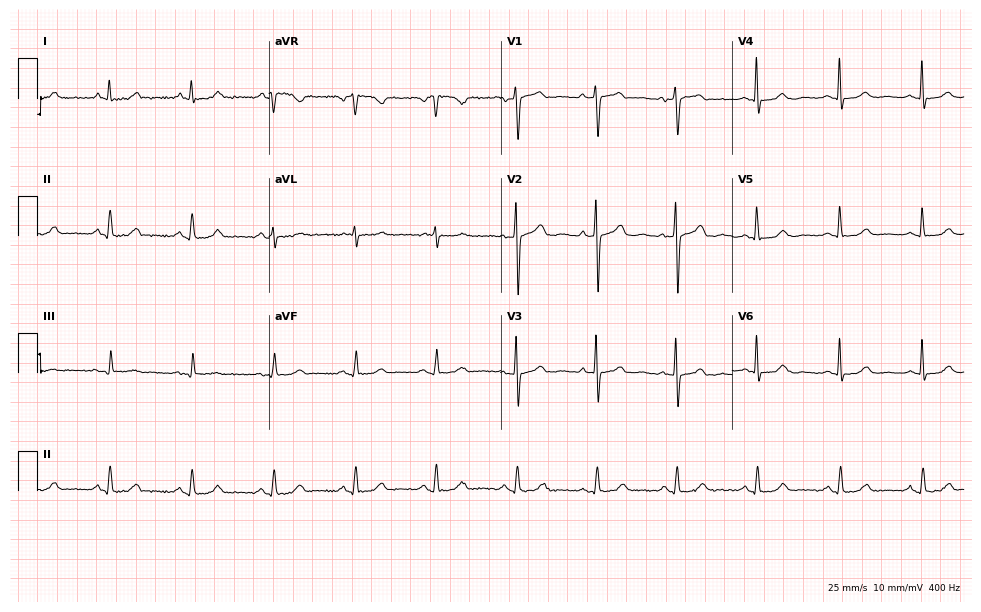
12-lead ECG from a 77-year-old woman (9.4-second recording at 400 Hz). Recorded interpretation: within normal limits.